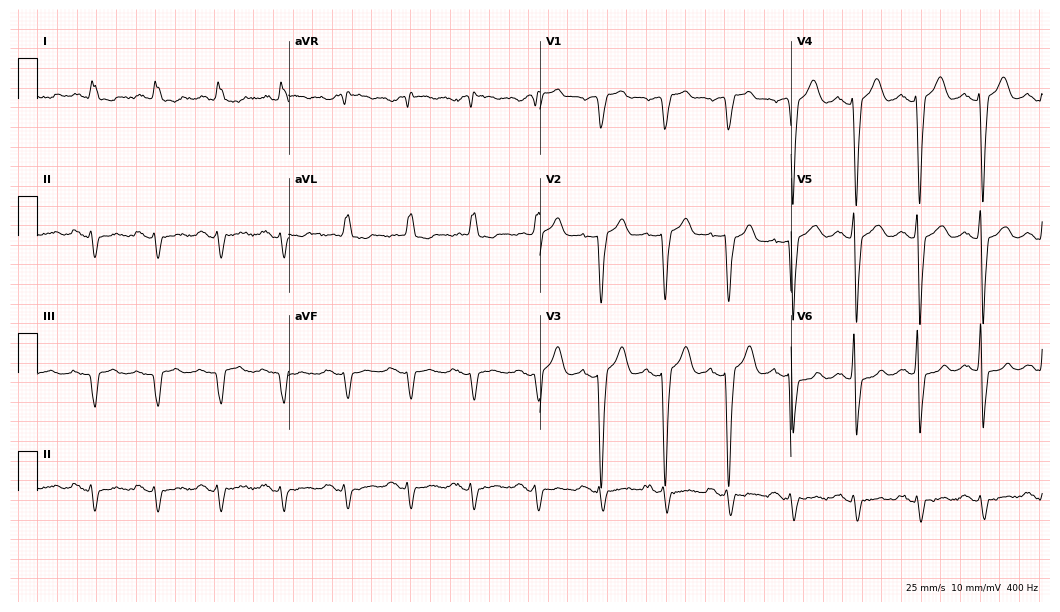
12-lead ECG from a male, 77 years old. Shows left bundle branch block.